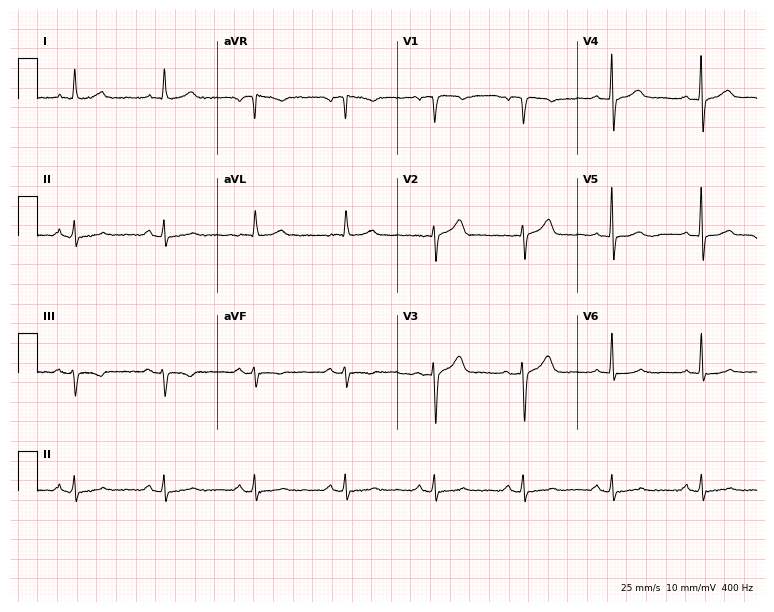
ECG — a 71-year-old male. Screened for six findings — first-degree AV block, right bundle branch block (RBBB), left bundle branch block (LBBB), sinus bradycardia, atrial fibrillation (AF), sinus tachycardia — none is recorded. Other findings, if any, are not listed.